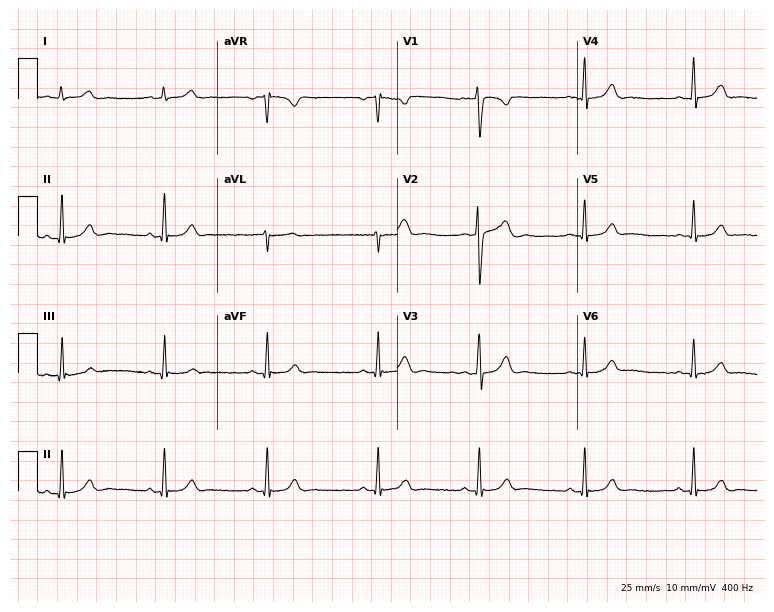
Resting 12-lead electrocardiogram. Patient: a 20-year-old woman. Read as a normal ECG.